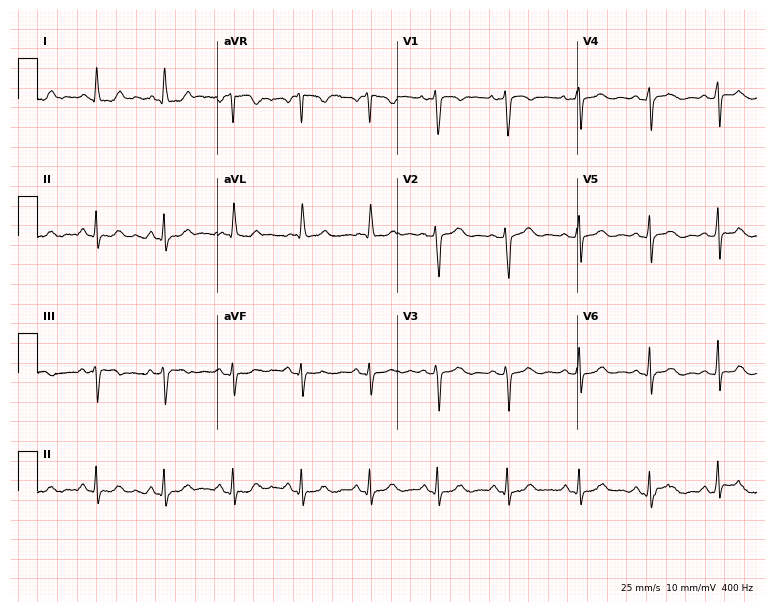
Resting 12-lead electrocardiogram (7.3-second recording at 400 Hz). Patient: a 45-year-old woman. None of these six findings is recorded: first-degree AV block, right bundle branch block (RBBB), left bundle branch block (LBBB), sinus bradycardia, atrial fibrillation (AF), sinus tachycardia.